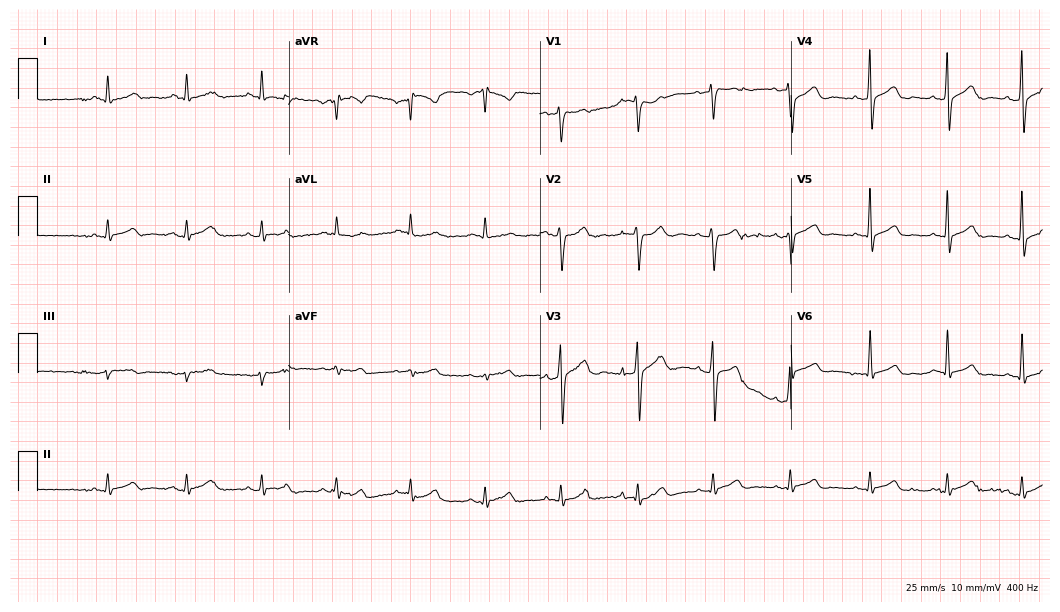
12-lead ECG (10.2-second recording at 400 Hz) from a male, 29 years old. Labelled as a normal ECG.